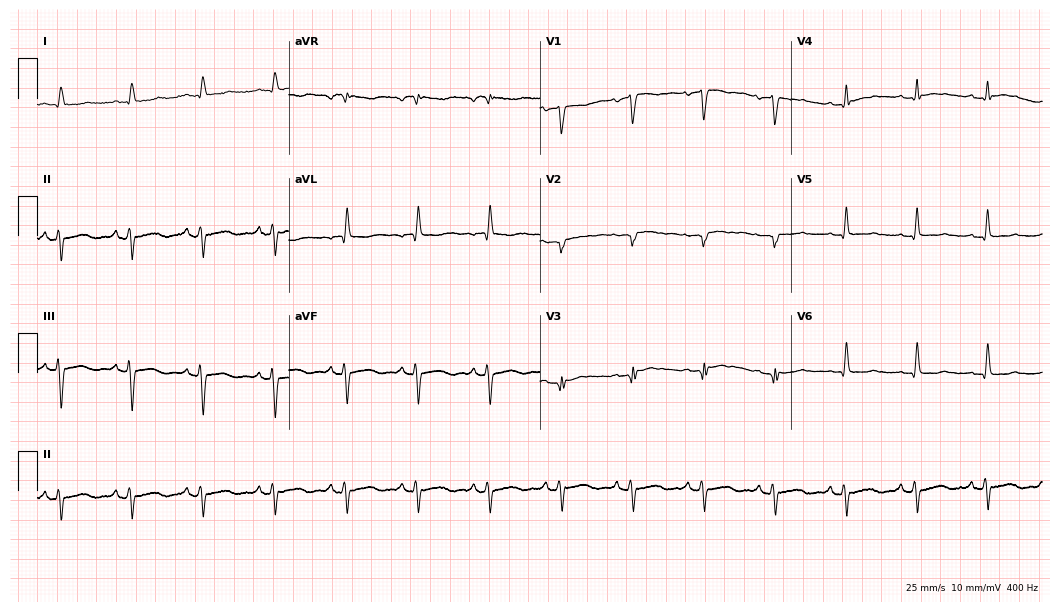
Resting 12-lead electrocardiogram (10.2-second recording at 400 Hz). Patient: a man, 77 years old. None of these six findings is recorded: first-degree AV block, right bundle branch block, left bundle branch block, sinus bradycardia, atrial fibrillation, sinus tachycardia. Other findings, if any, are not listed.